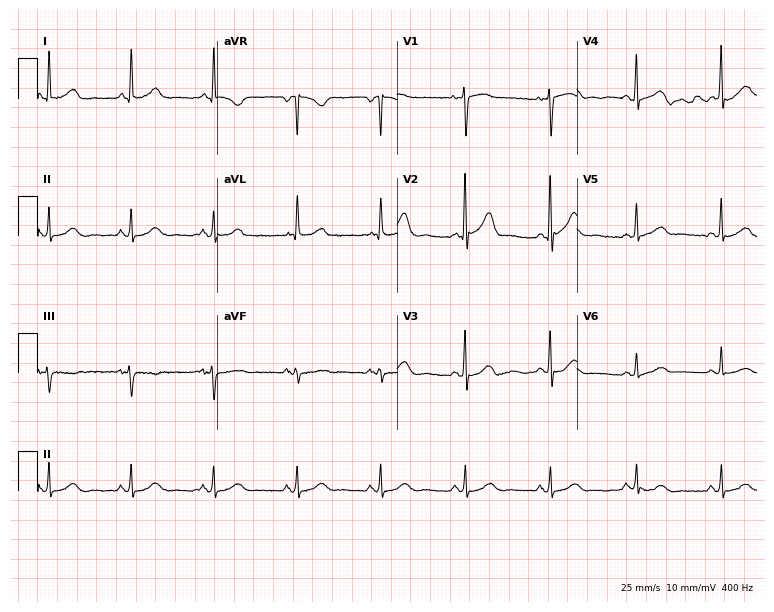
Standard 12-lead ECG recorded from an 80-year-old female patient. None of these six findings is recorded: first-degree AV block, right bundle branch block, left bundle branch block, sinus bradycardia, atrial fibrillation, sinus tachycardia.